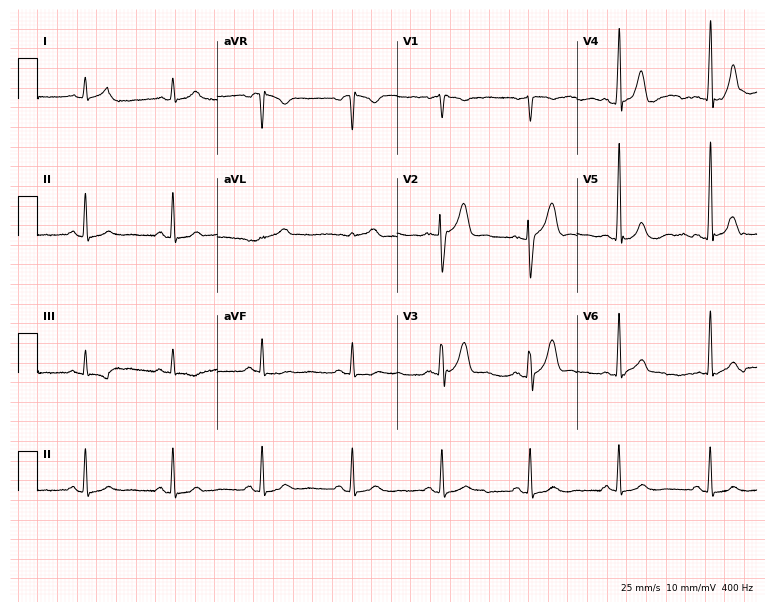
12-lead ECG from a 52-year-old man (7.3-second recording at 400 Hz). Recorded interpretation: within normal limits.